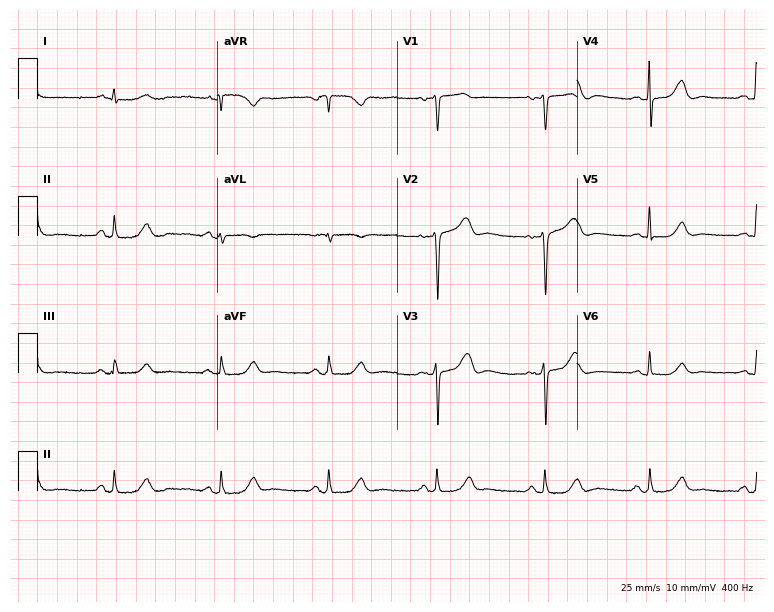
12-lead ECG from a 79-year-old male. Recorded interpretation: within normal limits.